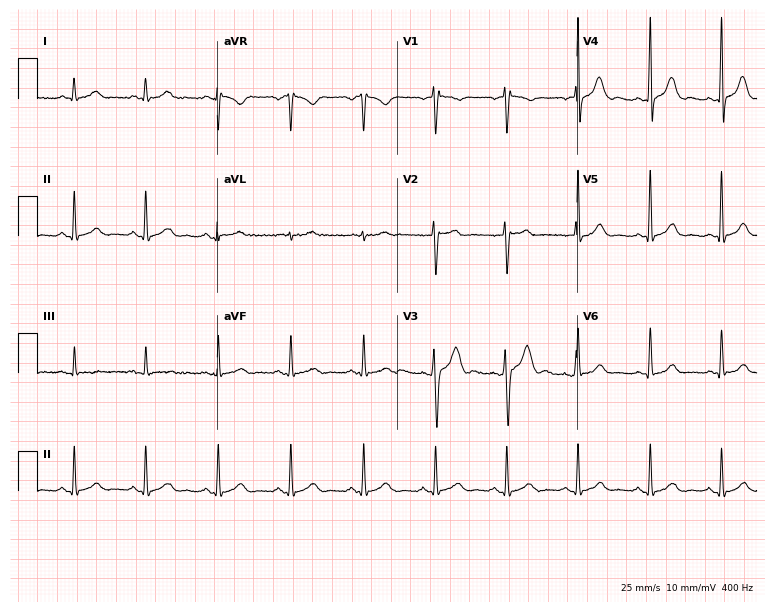
12-lead ECG from a 46-year-old male. Screened for six findings — first-degree AV block, right bundle branch block, left bundle branch block, sinus bradycardia, atrial fibrillation, sinus tachycardia — none is recorded. Findings outside these six are not listed.